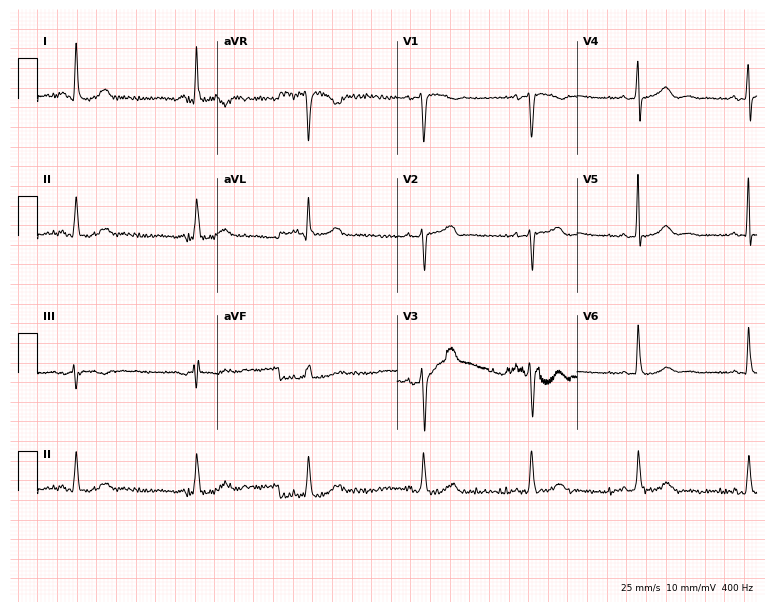
Electrocardiogram, a female patient, 72 years old. Of the six screened findings (first-degree AV block, right bundle branch block, left bundle branch block, sinus bradycardia, atrial fibrillation, sinus tachycardia), none is recorded. Other findings, if any, are not listed.